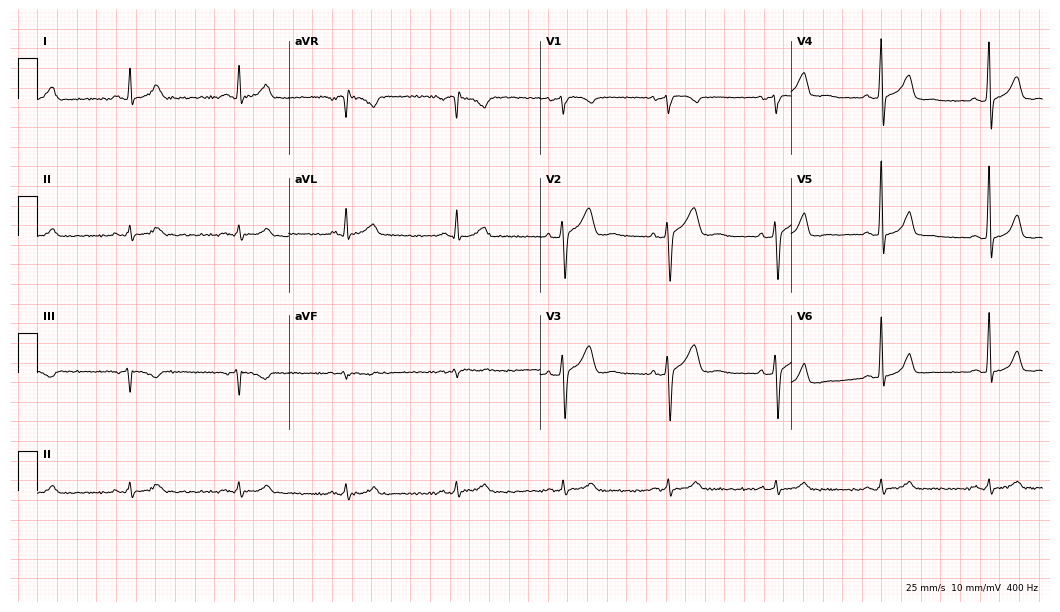
Electrocardiogram (10.2-second recording at 400 Hz), a 44-year-old male. Overall reading on record: normal ECG.